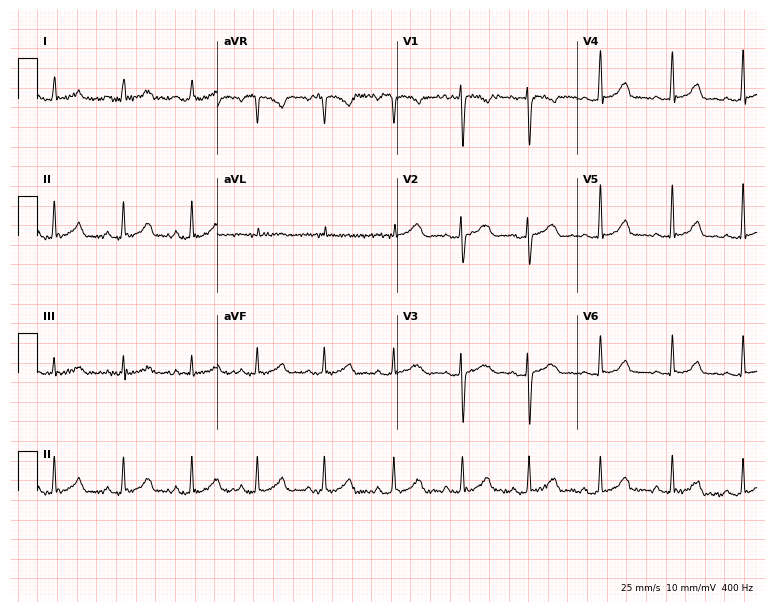
12-lead ECG from a female, 20 years old. Recorded interpretation: within normal limits.